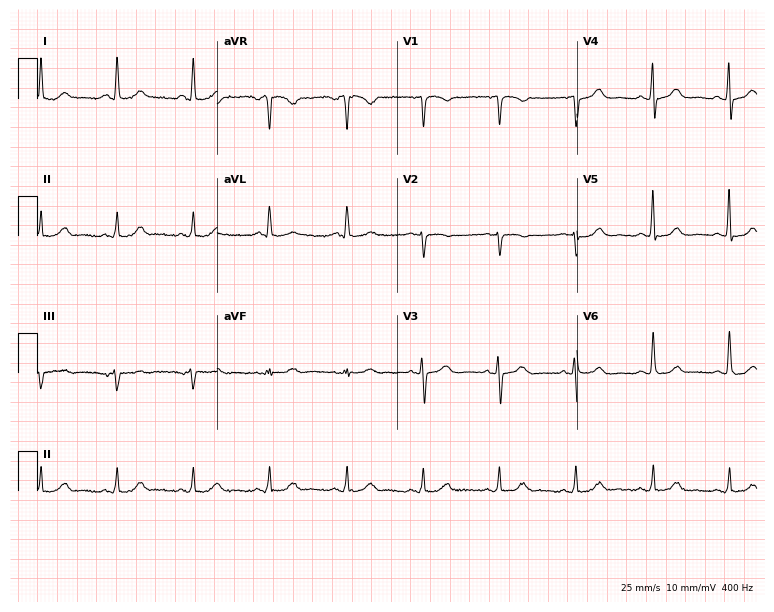
12-lead ECG from a female, 73 years old. Screened for six findings — first-degree AV block, right bundle branch block, left bundle branch block, sinus bradycardia, atrial fibrillation, sinus tachycardia — none is recorded. Findings outside these six are not listed.